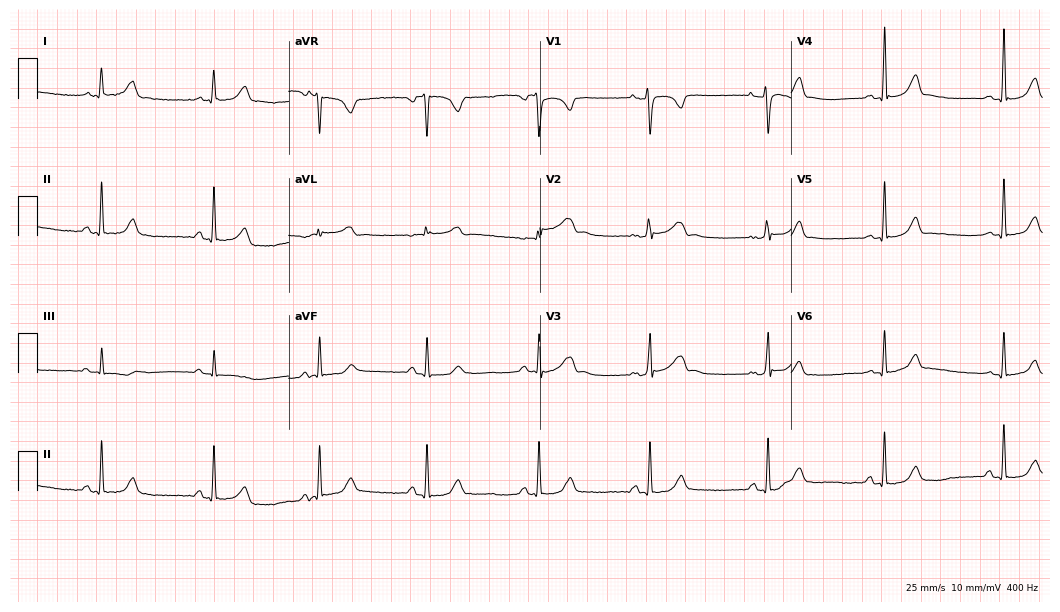
12-lead ECG (10.2-second recording at 400 Hz) from a 42-year-old male. Labelled as a normal ECG.